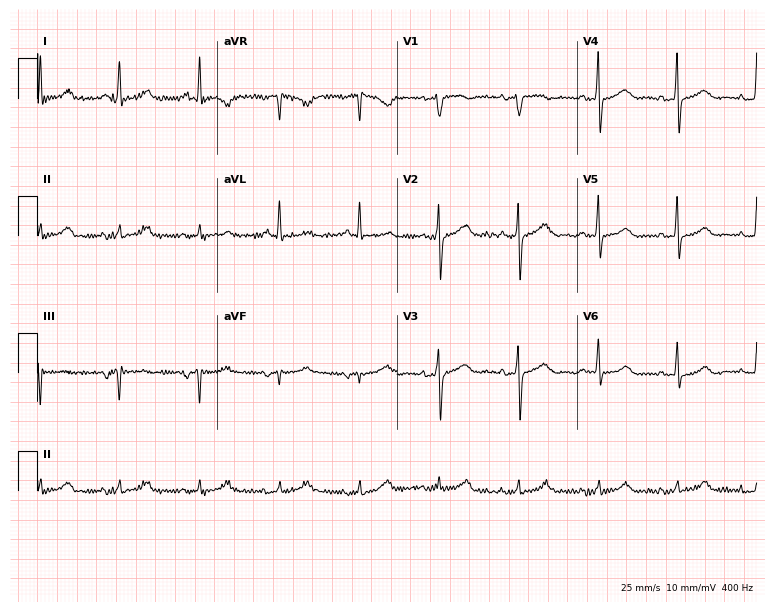
Resting 12-lead electrocardiogram (7.3-second recording at 400 Hz). Patient: a 72-year-old female. None of these six findings is recorded: first-degree AV block, right bundle branch block, left bundle branch block, sinus bradycardia, atrial fibrillation, sinus tachycardia. Only these six findings were labelled.